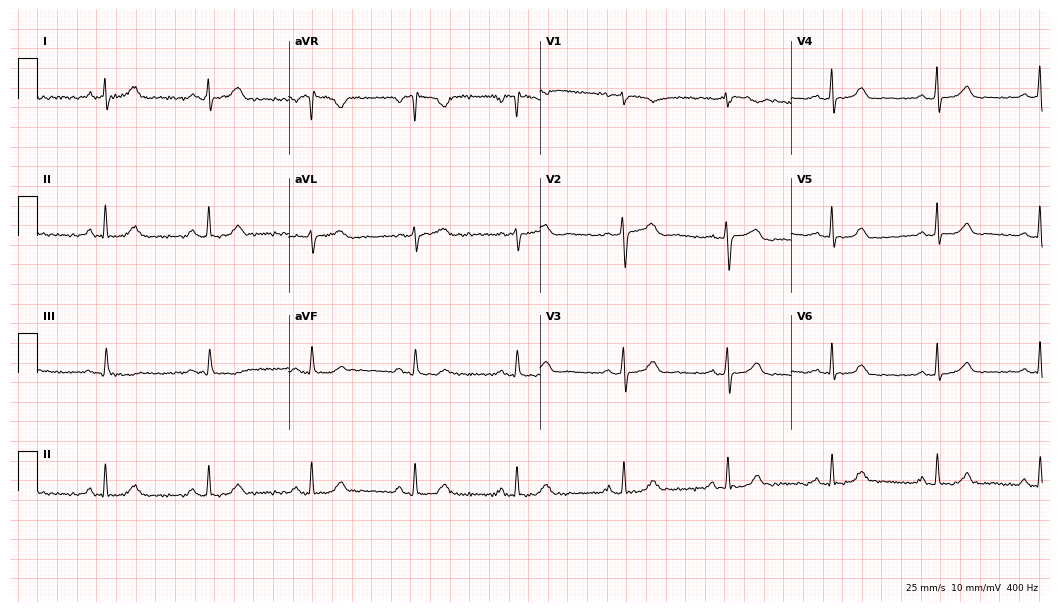
Standard 12-lead ECG recorded from a 53-year-old female. Read as a normal ECG.